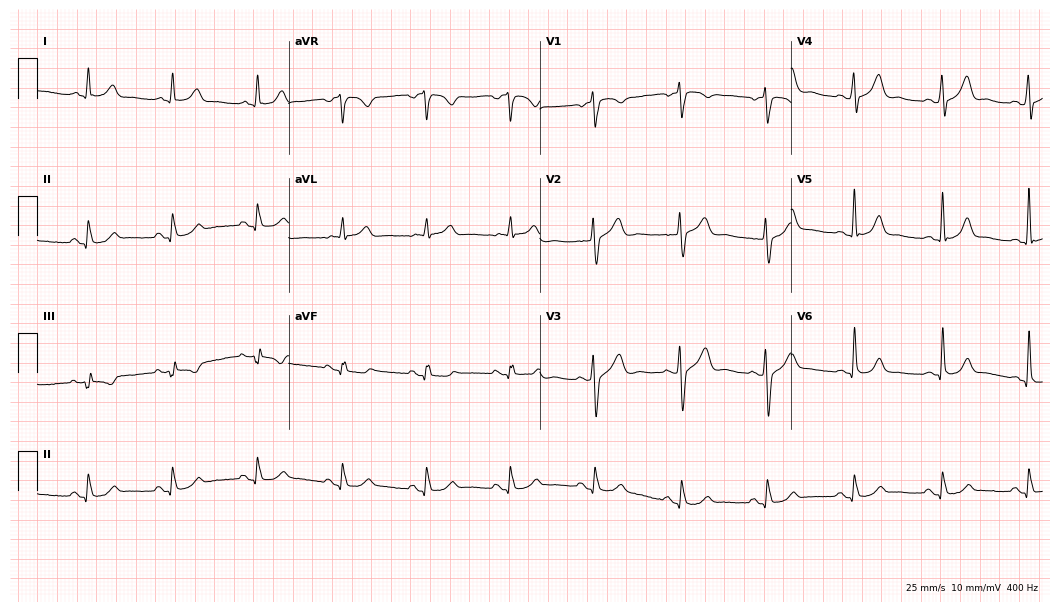
Electrocardiogram, a male patient, 58 years old. Overall reading on record: normal ECG.